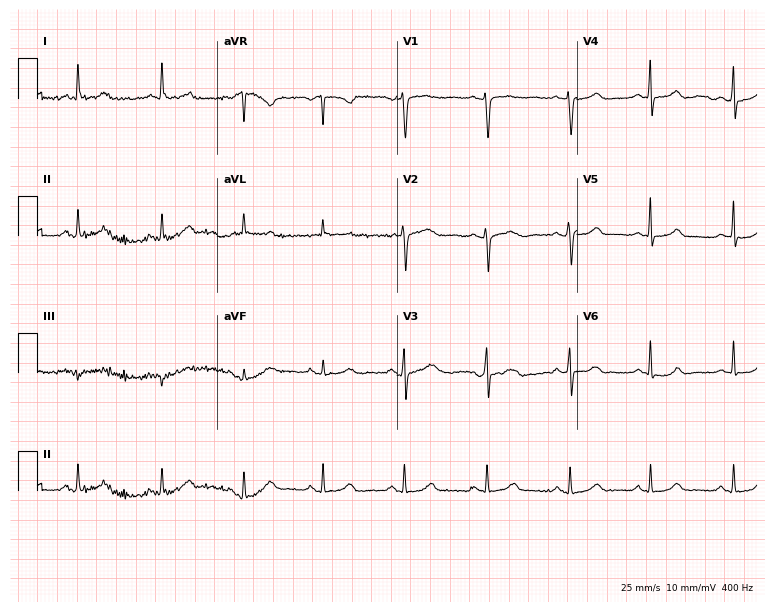
ECG — a female patient, 39 years old. Labelled as a normal ECG.